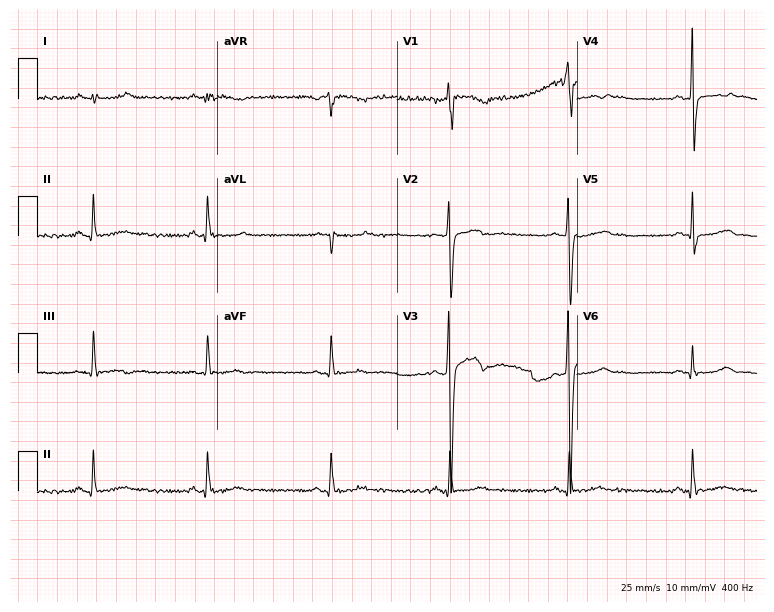
Resting 12-lead electrocardiogram. Patient: a man, 36 years old. None of these six findings is recorded: first-degree AV block, right bundle branch block, left bundle branch block, sinus bradycardia, atrial fibrillation, sinus tachycardia. Only these six findings were labelled.